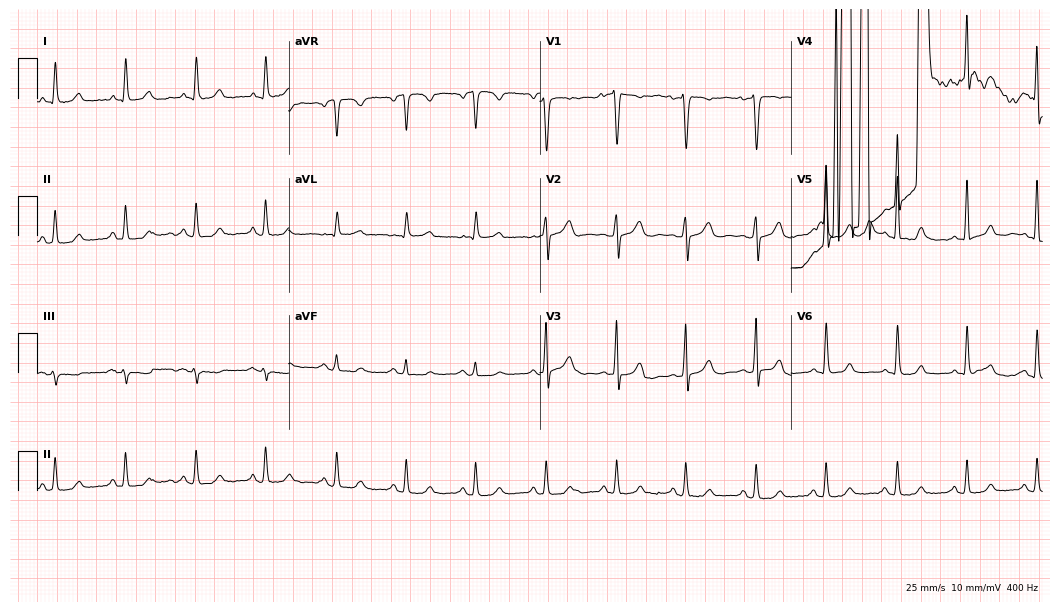
12-lead ECG (10.2-second recording at 400 Hz) from a man, 68 years old. Screened for six findings — first-degree AV block, right bundle branch block (RBBB), left bundle branch block (LBBB), sinus bradycardia, atrial fibrillation (AF), sinus tachycardia — none is recorded. Findings outside these six are not listed.